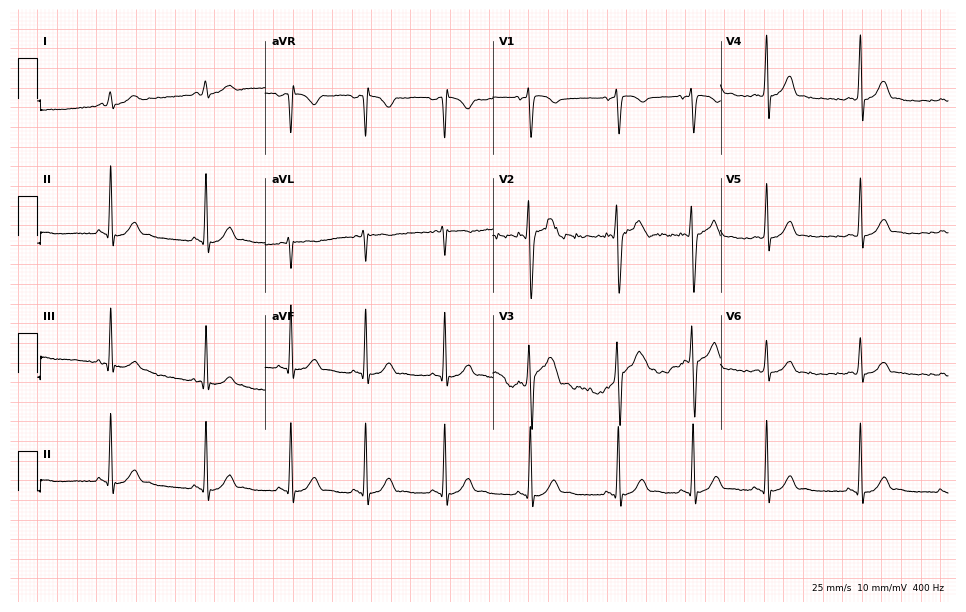
Standard 12-lead ECG recorded from a 17-year-old male patient. Read as a normal ECG.